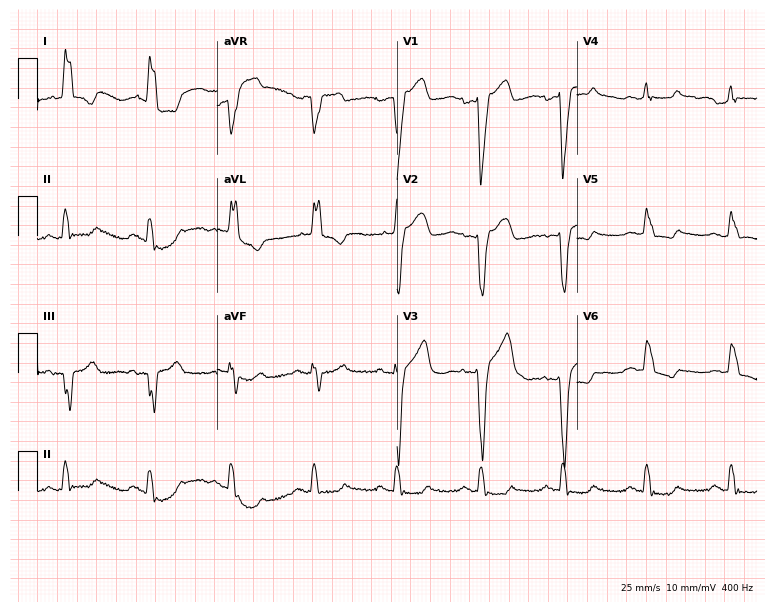
Resting 12-lead electrocardiogram (7.3-second recording at 400 Hz). Patient: a female, 83 years old. None of these six findings is recorded: first-degree AV block, right bundle branch block, left bundle branch block, sinus bradycardia, atrial fibrillation, sinus tachycardia. Only these six findings were labelled.